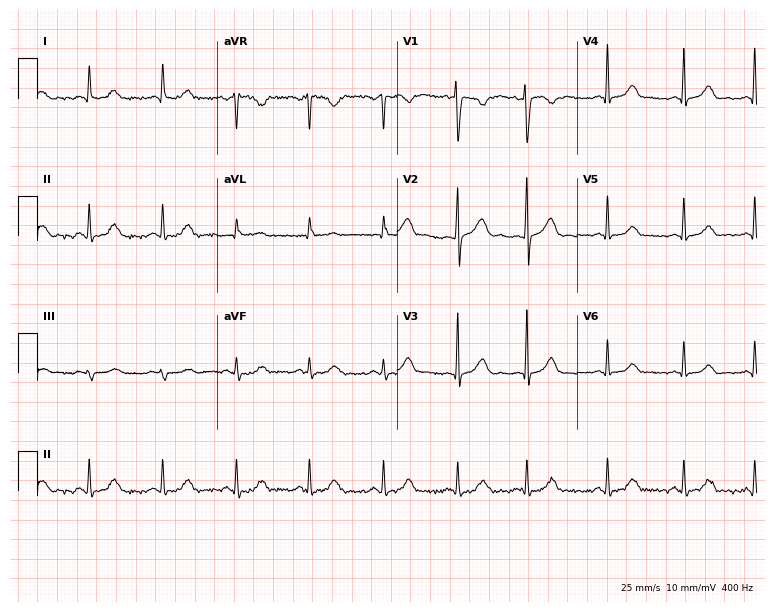
12-lead ECG from a female patient, 28 years old. No first-degree AV block, right bundle branch block, left bundle branch block, sinus bradycardia, atrial fibrillation or sinus tachycardia recorded for this tracing.